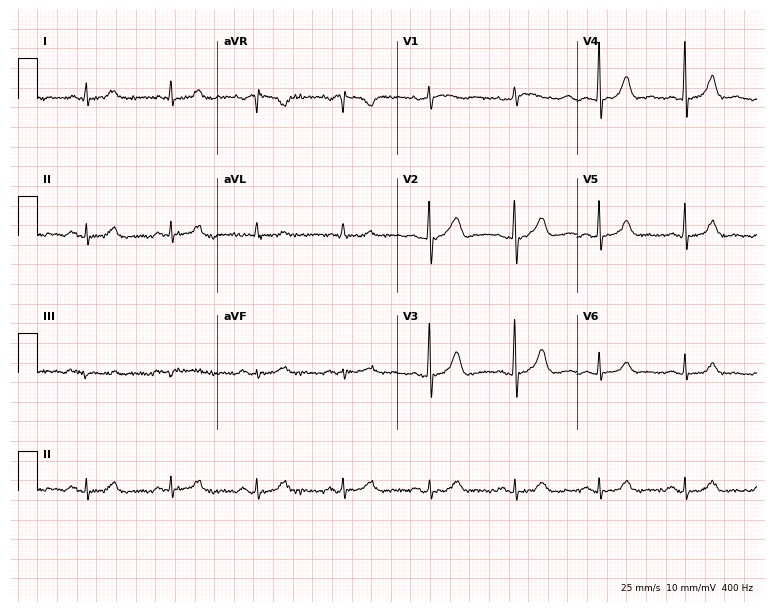
Standard 12-lead ECG recorded from a female patient, 73 years old (7.3-second recording at 400 Hz). Read as a normal ECG.